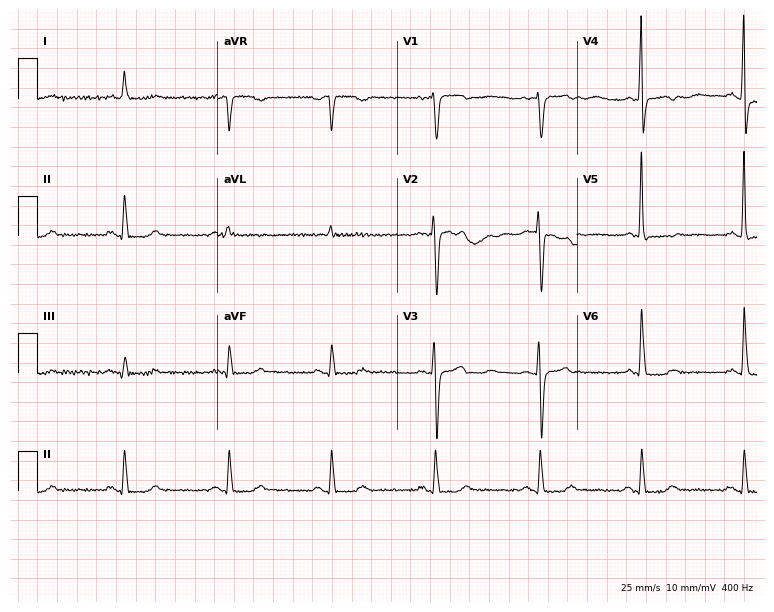
12-lead ECG (7.3-second recording at 400 Hz) from an 80-year-old woman. Screened for six findings — first-degree AV block, right bundle branch block, left bundle branch block, sinus bradycardia, atrial fibrillation, sinus tachycardia — none is recorded.